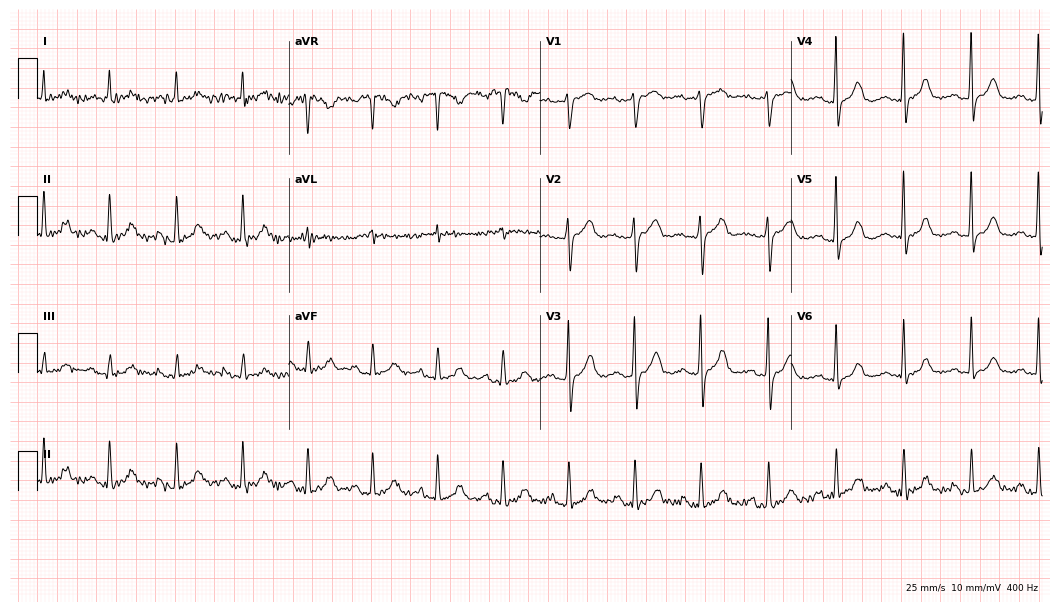
12-lead ECG from a female patient, 65 years old. No first-degree AV block, right bundle branch block, left bundle branch block, sinus bradycardia, atrial fibrillation or sinus tachycardia recorded for this tracing.